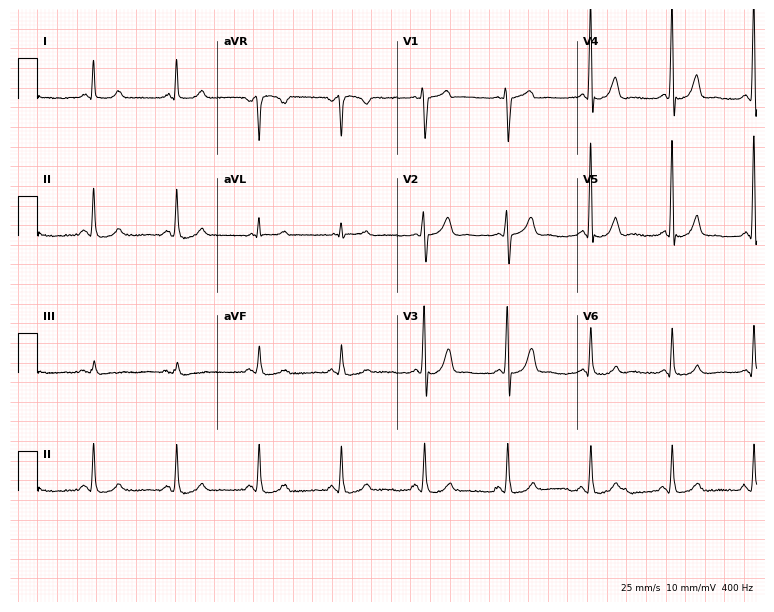
ECG — a 73-year-old male. Screened for six findings — first-degree AV block, right bundle branch block (RBBB), left bundle branch block (LBBB), sinus bradycardia, atrial fibrillation (AF), sinus tachycardia — none is recorded.